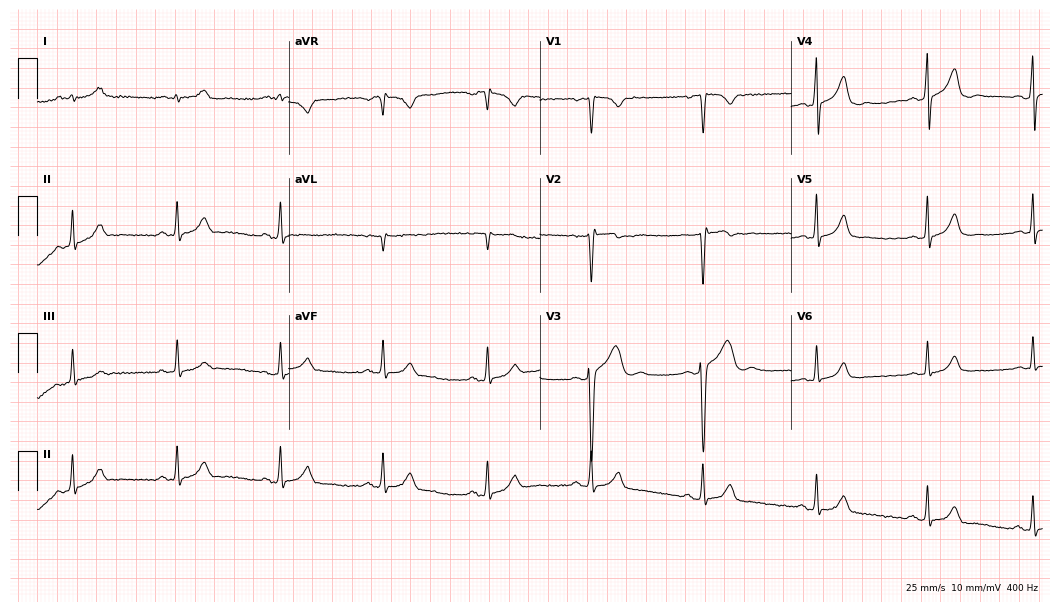
12-lead ECG (10.2-second recording at 400 Hz) from a male patient, 30 years old. Labelled as a normal ECG.